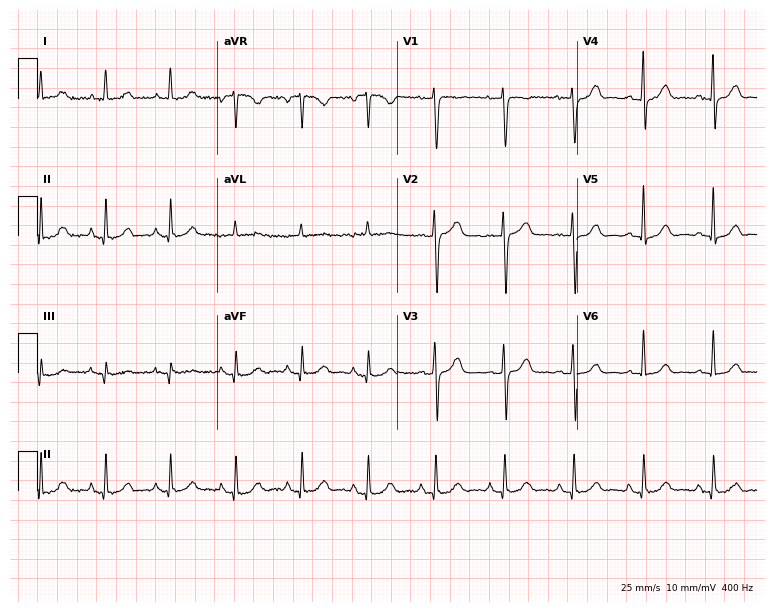
Resting 12-lead electrocardiogram. Patient: a 63-year-old female. None of these six findings is recorded: first-degree AV block, right bundle branch block, left bundle branch block, sinus bradycardia, atrial fibrillation, sinus tachycardia. Findings outside these six are not listed.